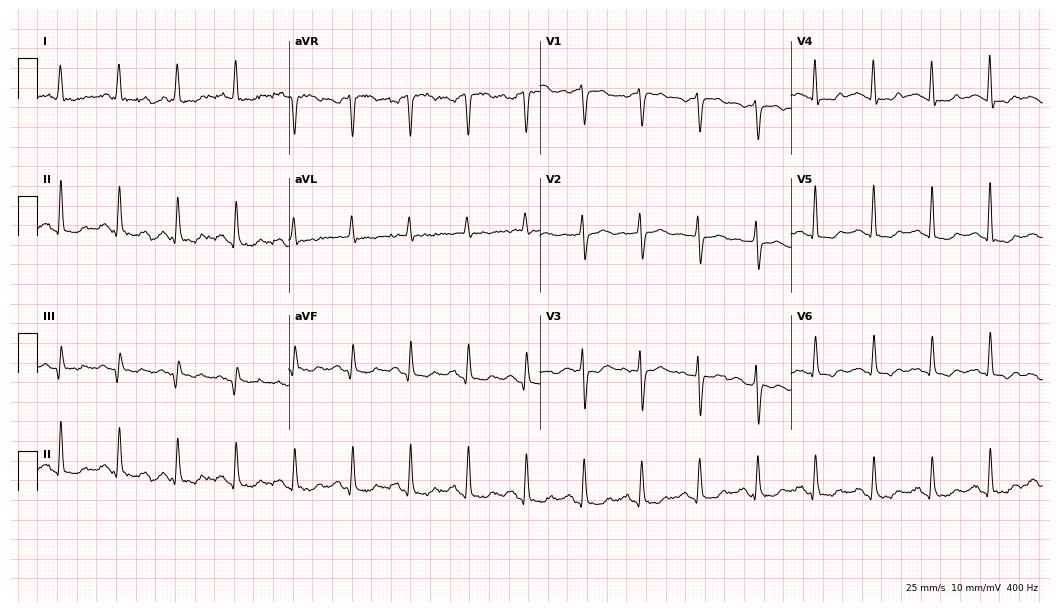
ECG — a female patient, 69 years old. Findings include sinus tachycardia (a sinus rate of 100 beats per minute or more).